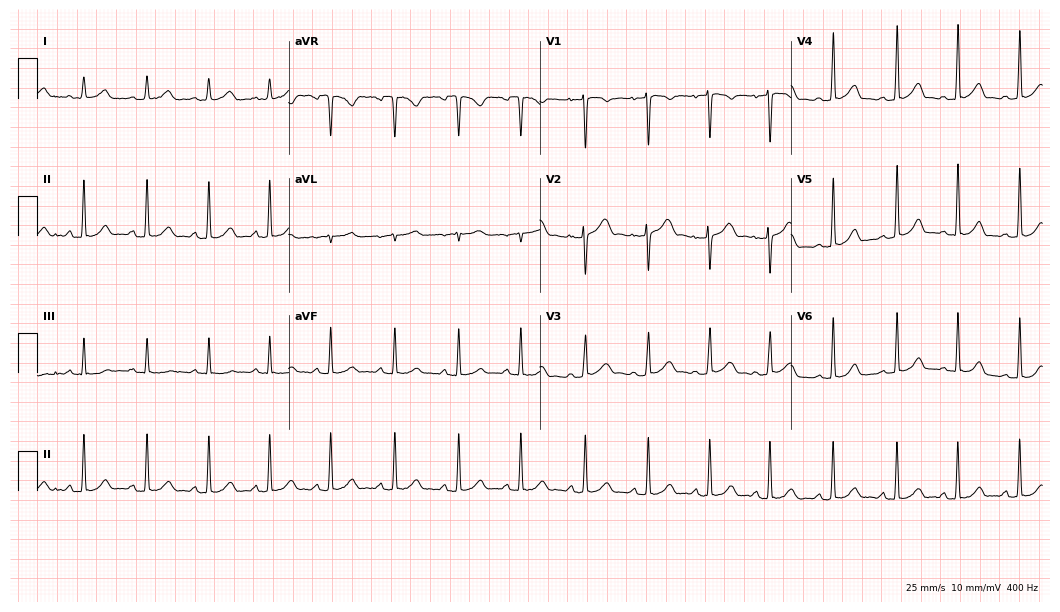
12-lead ECG from a female, 30 years old. Labelled as a normal ECG.